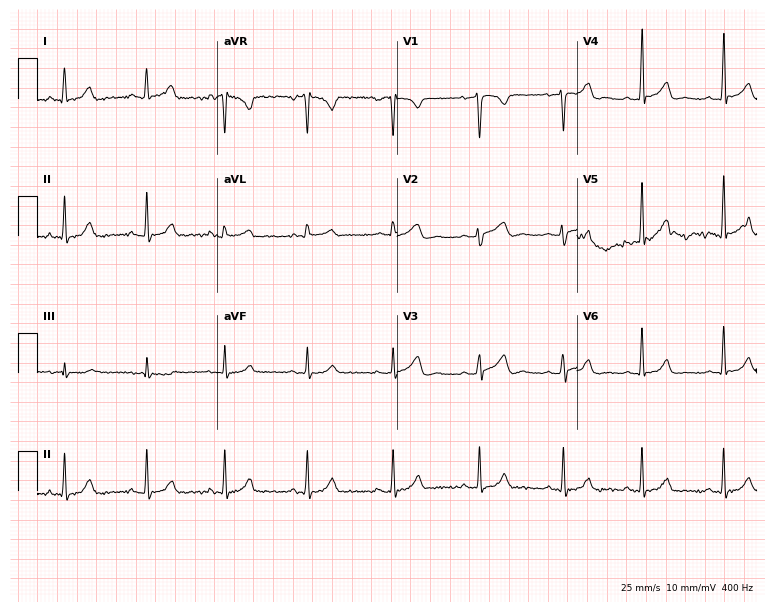
12-lead ECG from a 42-year-old female patient. Screened for six findings — first-degree AV block, right bundle branch block (RBBB), left bundle branch block (LBBB), sinus bradycardia, atrial fibrillation (AF), sinus tachycardia — none is recorded.